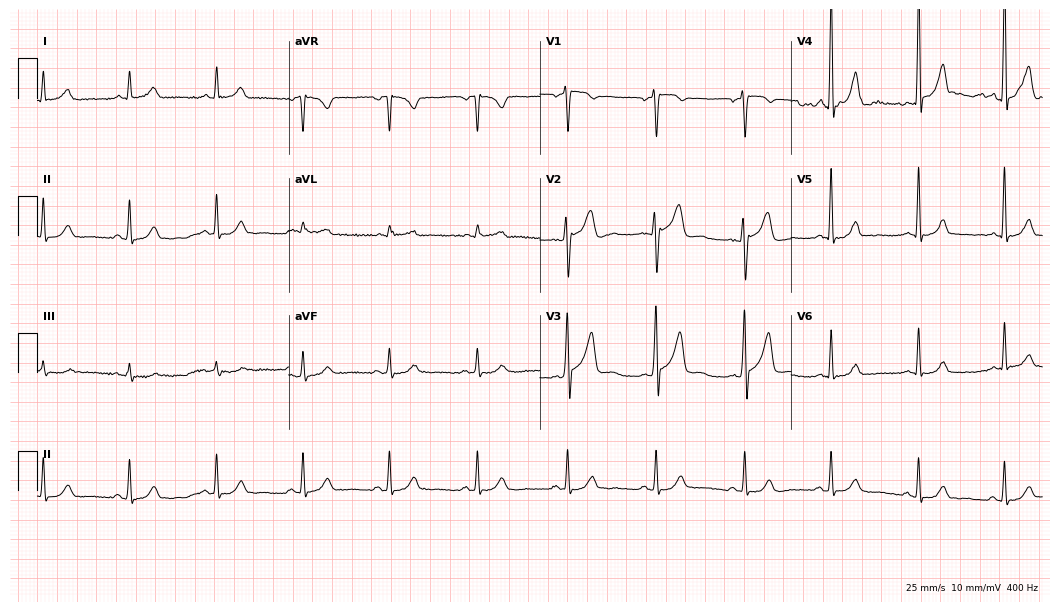
Resting 12-lead electrocardiogram (10.2-second recording at 400 Hz). Patient: a male, 44 years old. None of these six findings is recorded: first-degree AV block, right bundle branch block (RBBB), left bundle branch block (LBBB), sinus bradycardia, atrial fibrillation (AF), sinus tachycardia.